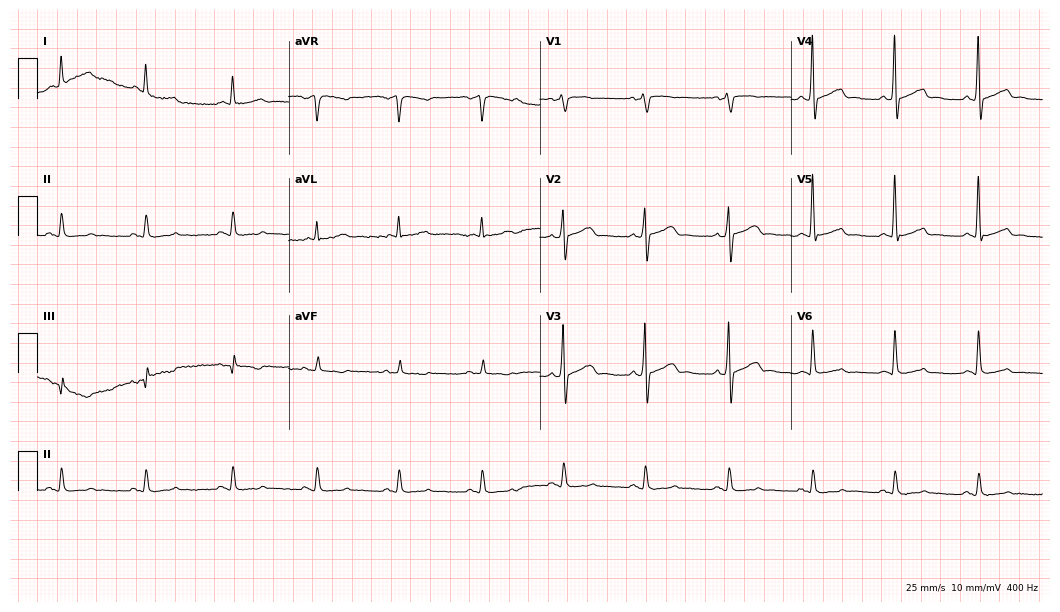
12-lead ECG from a 70-year-old man. No first-degree AV block, right bundle branch block, left bundle branch block, sinus bradycardia, atrial fibrillation or sinus tachycardia recorded for this tracing.